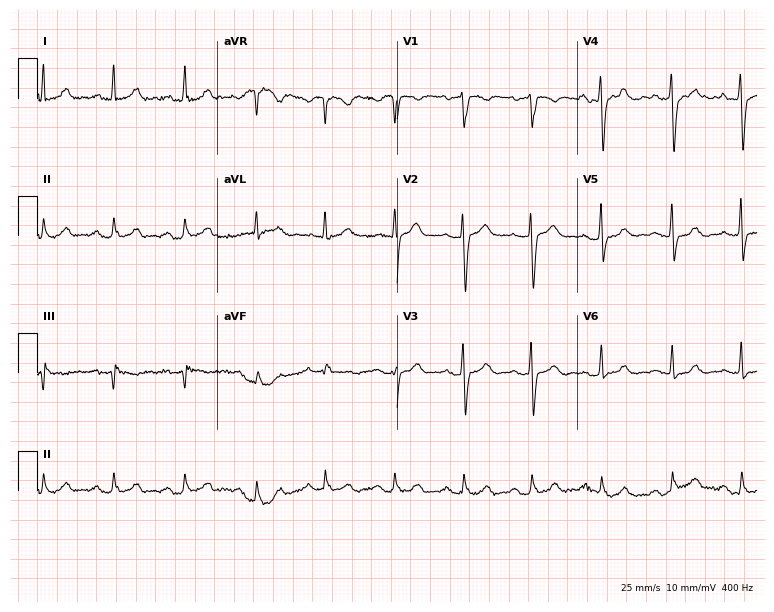
Electrocardiogram (7.3-second recording at 400 Hz), a 67-year-old man. Overall reading on record: normal ECG.